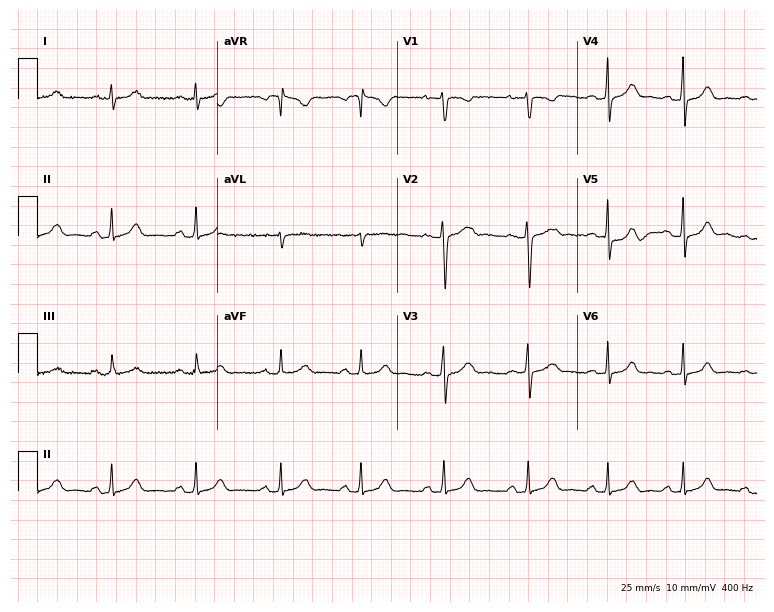
Resting 12-lead electrocardiogram (7.3-second recording at 400 Hz). Patient: a 31-year-old female. None of these six findings is recorded: first-degree AV block, right bundle branch block, left bundle branch block, sinus bradycardia, atrial fibrillation, sinus tachycardia. Other findings, if any, are not listed.